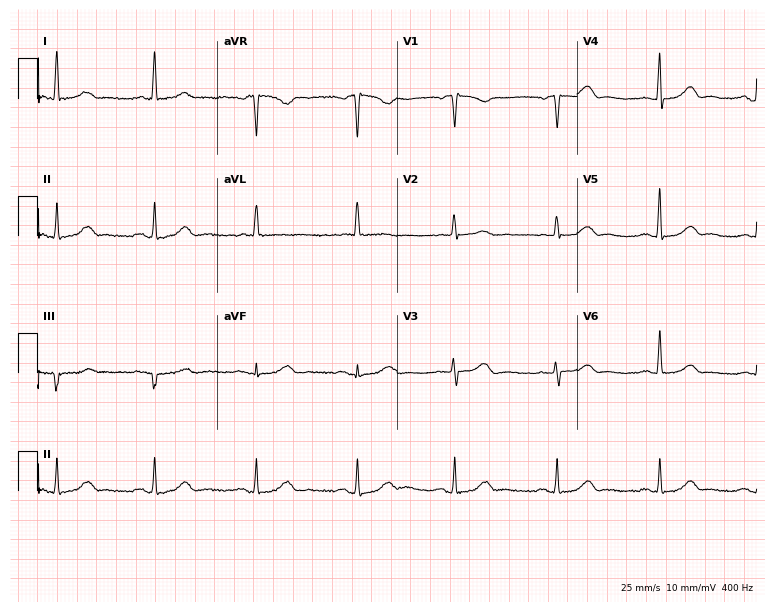
ECG — a woman, 71 years old. Labelled as a normal ECG.